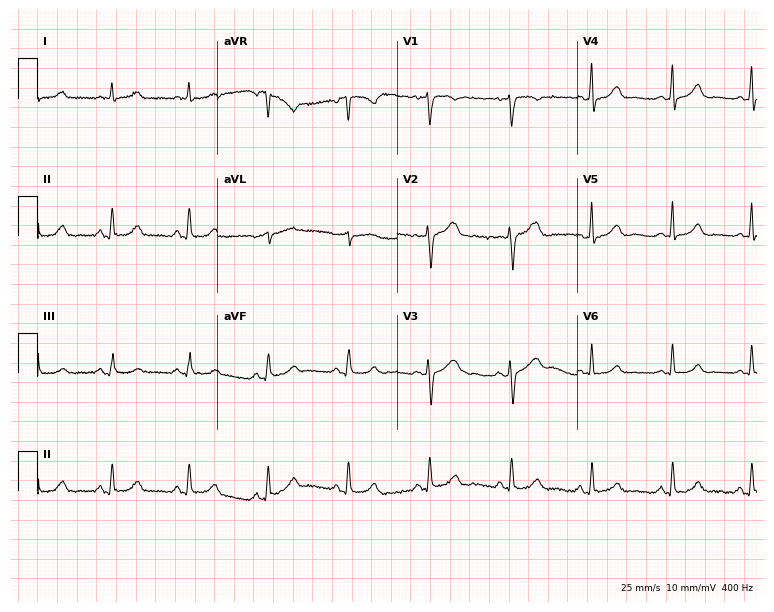
ECG — a female patient, 47 years old. Labelled as a normal ECG.